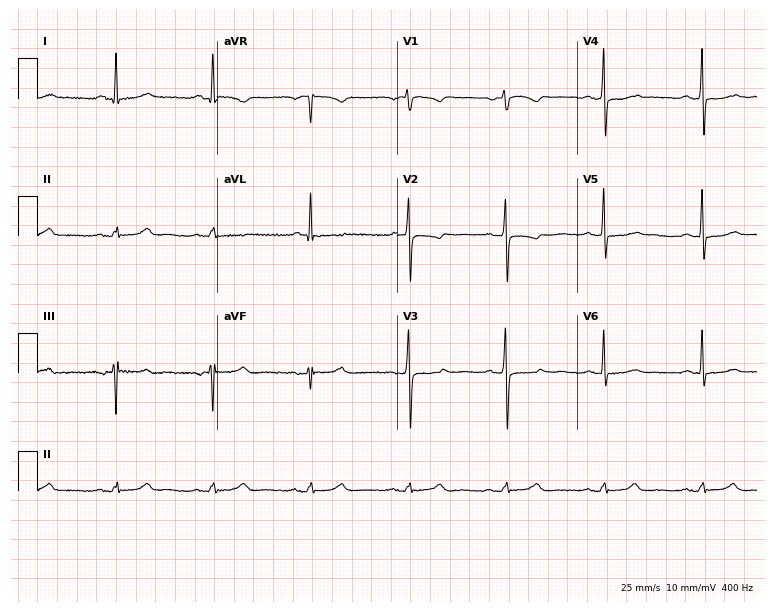
Standard 12-lead ECG recorded from a woman, 67 years old. Read as a normal ECG.